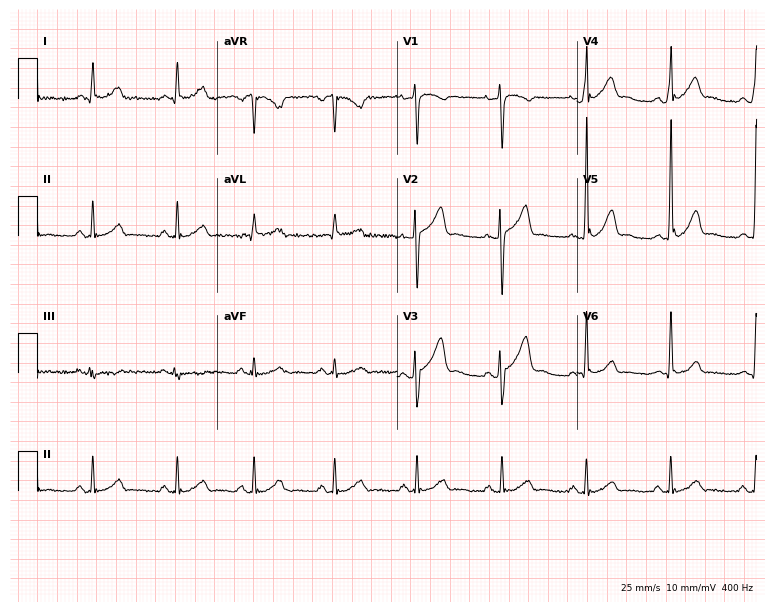
12-lead ECG (7.3-second recording at 400 Hz) from a male patient, 36 years old. Labelled as a normal ECG.